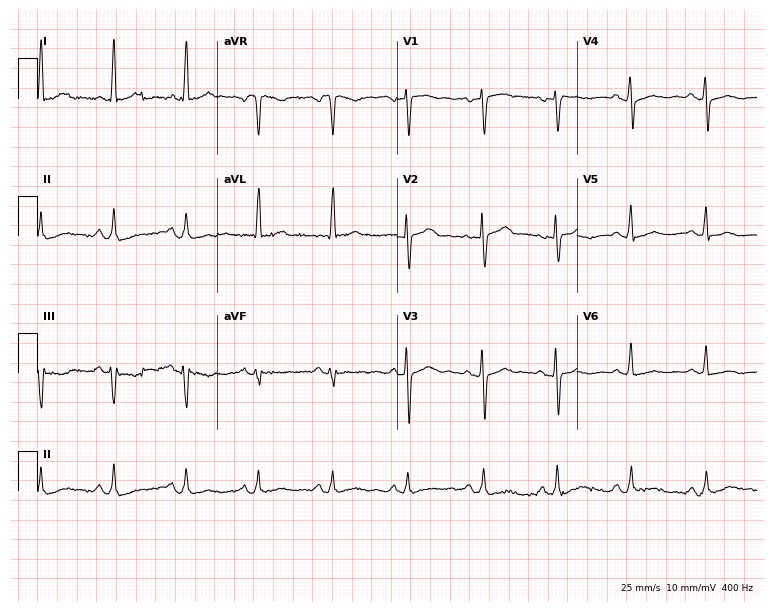
12-lead ECG from a 67-year-old female. Screened for six findings — first-degree AV block, right bundle branch block, left bundle branch block, sinus bradycardia, atrial fibrillation, sinus tachycardia — none is recorded.